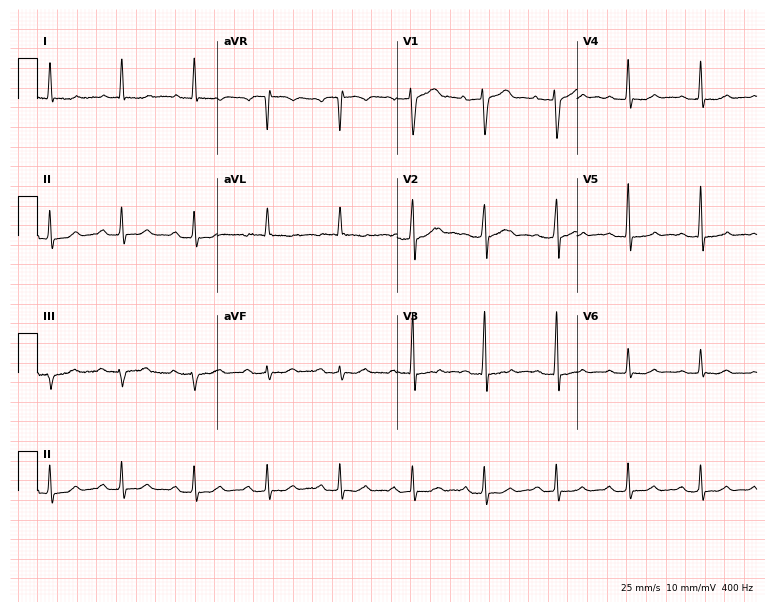
Electrocardiogram (7.3-second recording at 400 Hz), a man, 76 years old. Of the six screened findings (first-degree AV block, right bundle branch block (RBBB), left bundle branch block (LBBB), sinus bradycardia, atrial fibrillation (AF), sinus tachycardia), none is recorded.